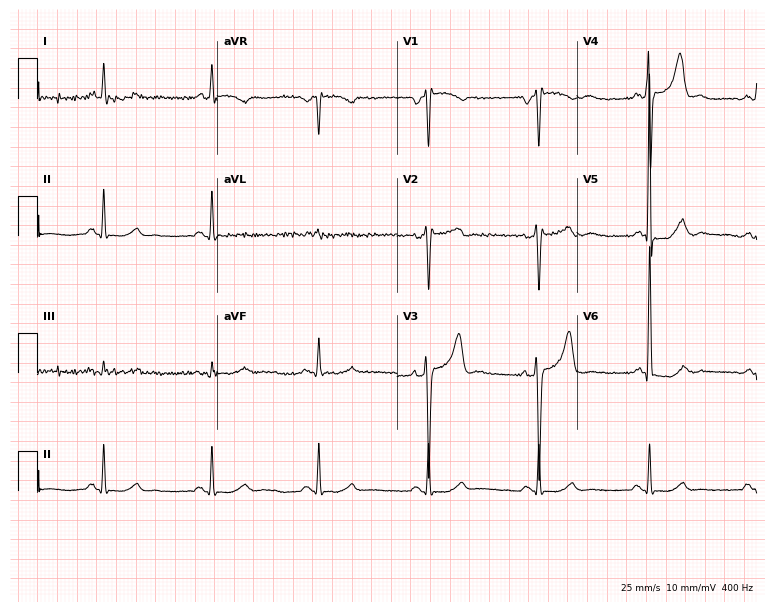
Resting 12-lead electrocardiogram. Patient: a 70-year-old man. None of these six findings is recorded: first-degree AV block, right bundle branch block (RBBB), left bundle branch block (LBBB), sinus bradycardia, atrial fibrillation (AF), sinus tachycardia.